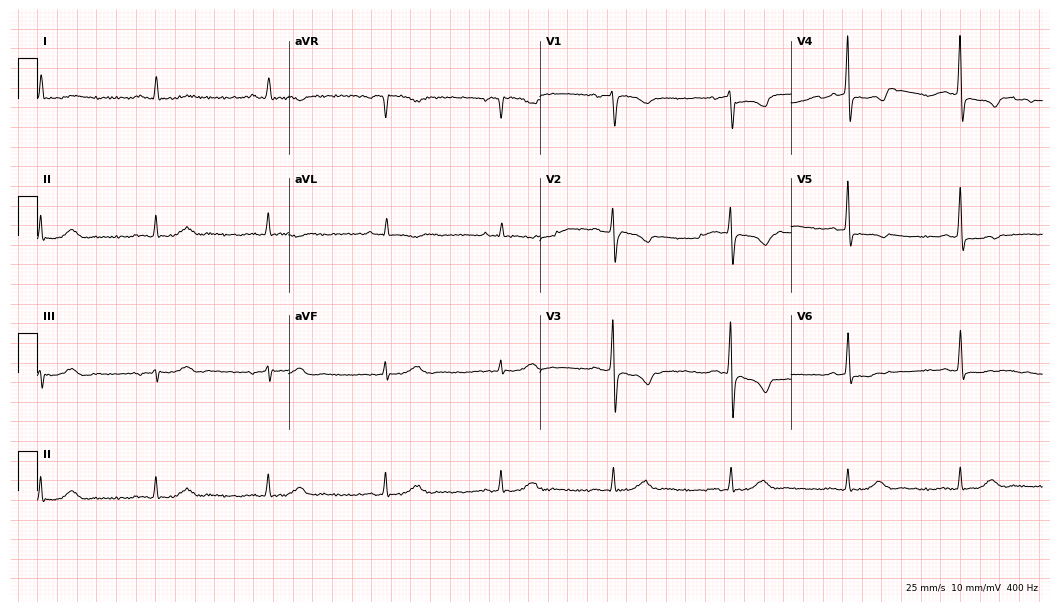
Resting 12-lead electrocardiogram (10.2-second recording at 400 Hz). Patient: a man, 62 years old. None of these six findings is recorded: first-degree AV block, right bundle branch block, left bundle branch block, sinus bradycardia, atrial fibrillation, sinus tachycardia. Findings outside these six are not listed.